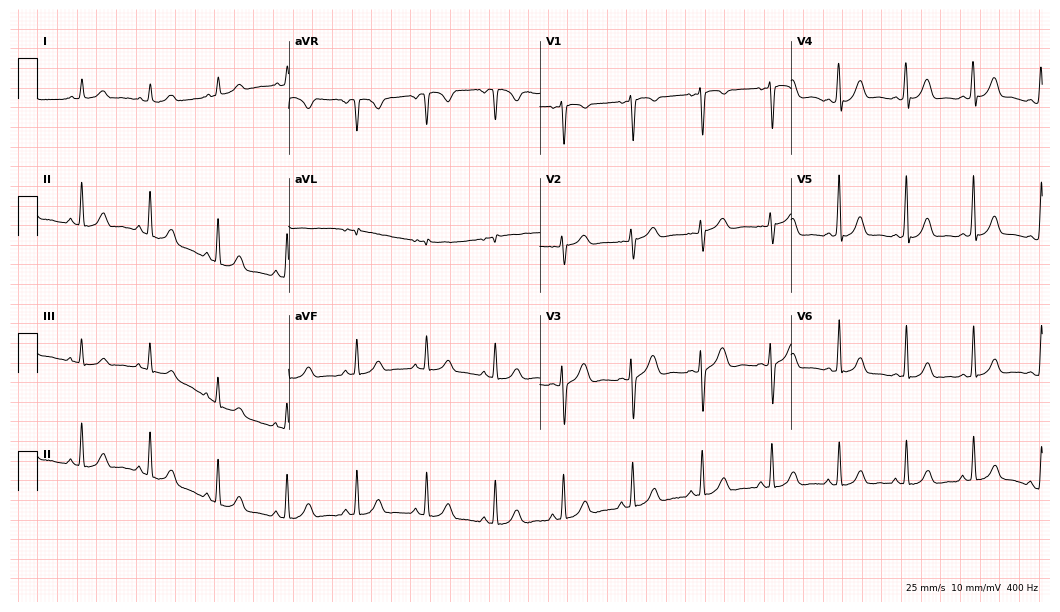
ECG — a 34-year-old female. Labelled as a normal ECG.